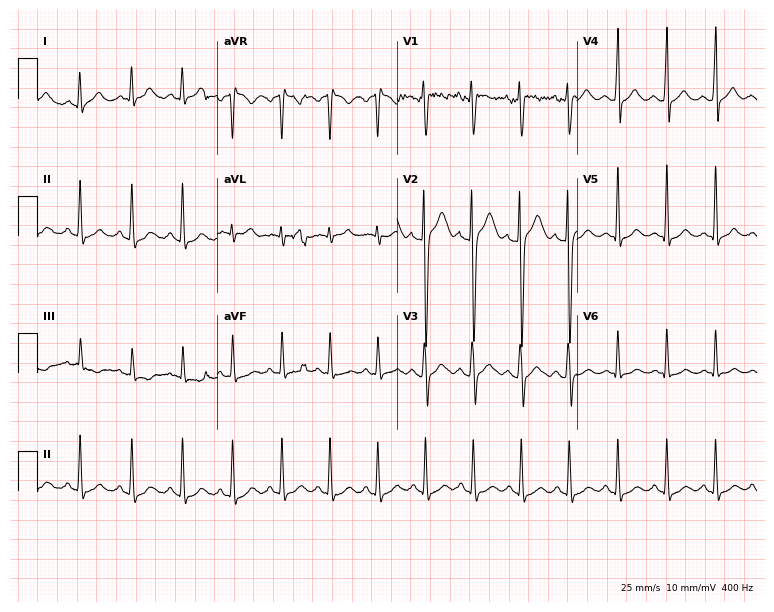
Standard 12-lead ECG recorded from a 23-year-old male patient. The tracing shows sinus tachycardia (a sinus rate of 100 beats per minute or more).